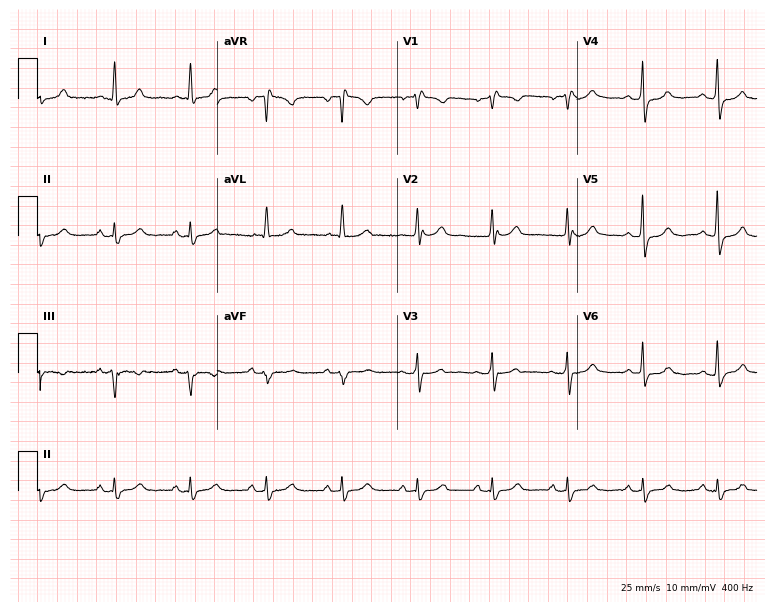
12-lead ECG (7.3-second recording at 400 Hz) from a 66-year-old female. Screened for six findings — first-degree AV block, right bundle branch block, left bundle branch block, sinus bradycardia, atrial fibrillation, sinus tachycardia — none is recorded.